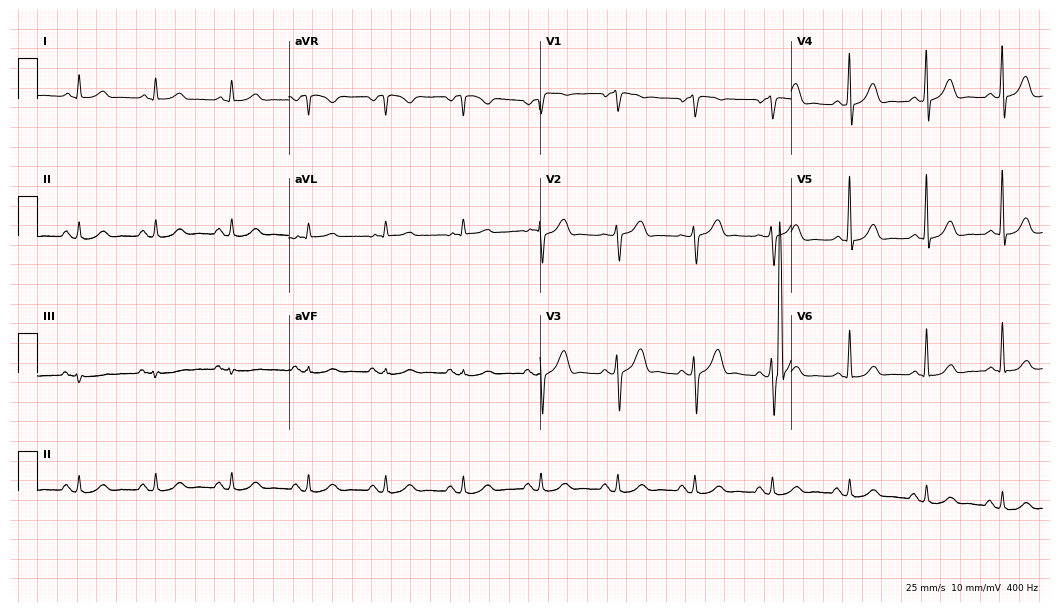
Electrocardiogram (10.2-second recording at 400 Hz), a male patient, 67 years old. Overall reading on record: normal ECG.